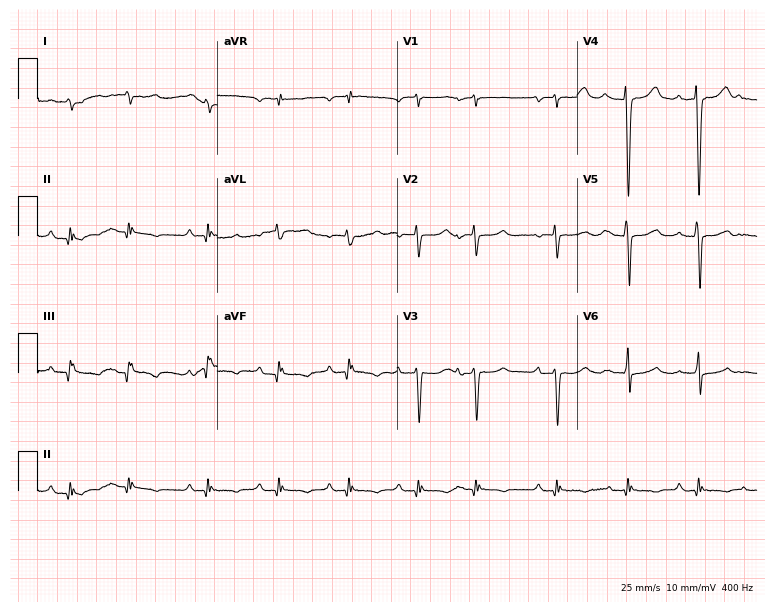
12-lead ECG from a woman, 78 years old (7.3-second recording at 400 Hz). No first-degree AV block, right bundle branch block, left bundle branch block, sinus bradycardia, atrial fibrillation or sinus tachycardia recorded for this tracing.